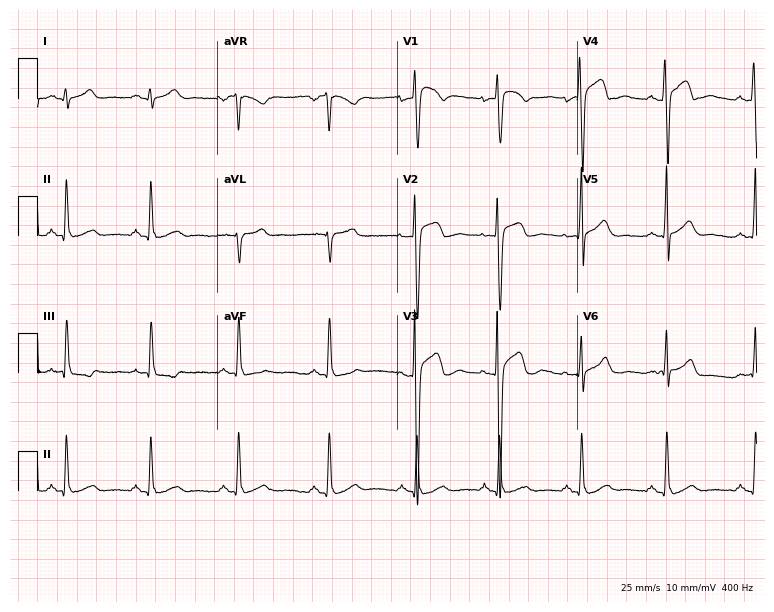
Resting 12-lead electrocardiogram (7.3-second recording at 400 Hz). Patient: a male, 23 years old. None of these six findings is recorded: first-degree AV block, right bundle branch block, left bundle branch block, sinus bradycardia, atrial fibrillation, sinus tachycardia. Only these six findings were labelled.